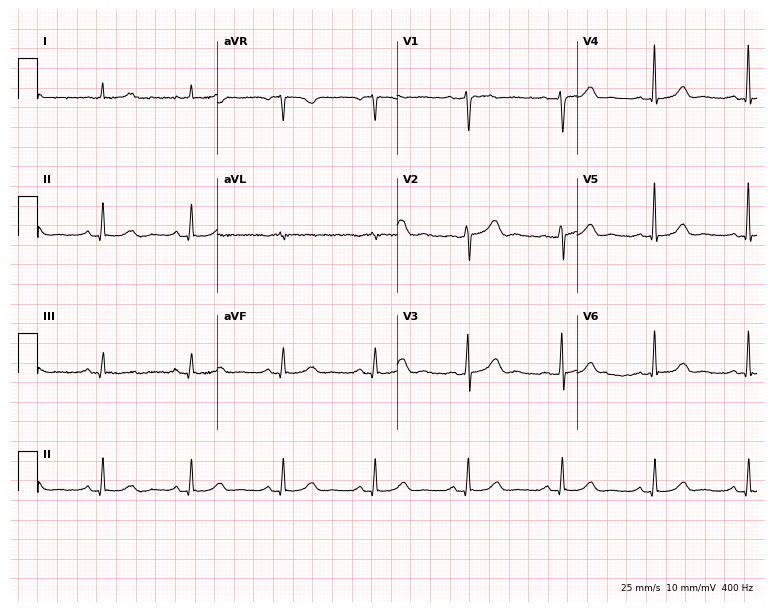
ECG (7.3-second recording at 400 Hz) — a woman, 60 years old. Screened for six findings — first-degree AV block, right bundle branch block, left bundle branch block, sinus bradycardia, atrial fibrillation, sinus tachycardia — none is recorded.